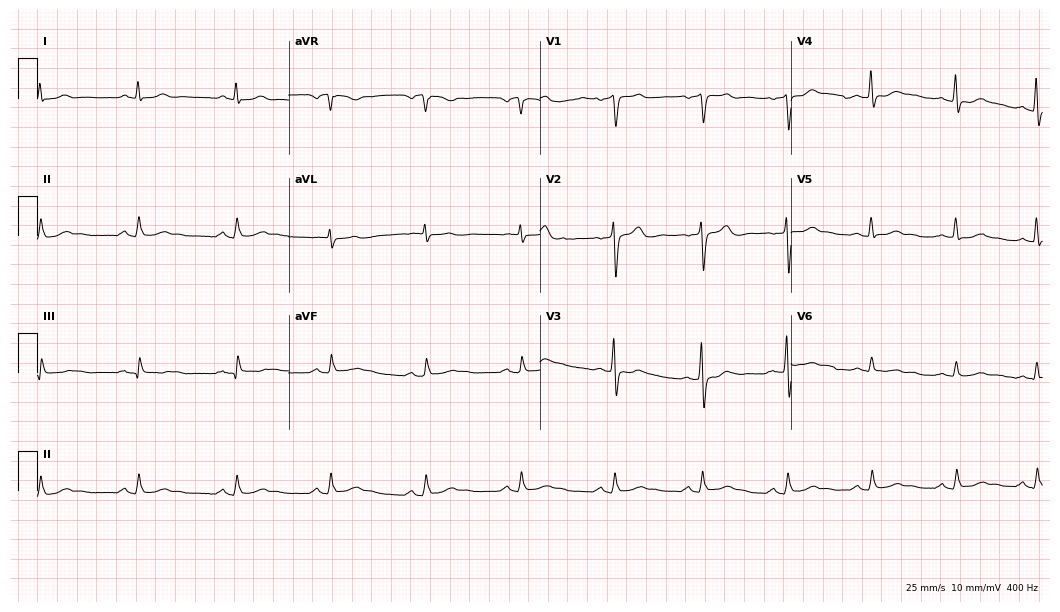
Resting 12-lead electrocardiogram. Patient: a male, 47 years old. None of these six findings is recorded: first-degree AV block, right bundle branch block, left bundle branch block, sinus bradycardia, atrial fibrillation, sinus tachycardia. Findings outside these six are not listed.